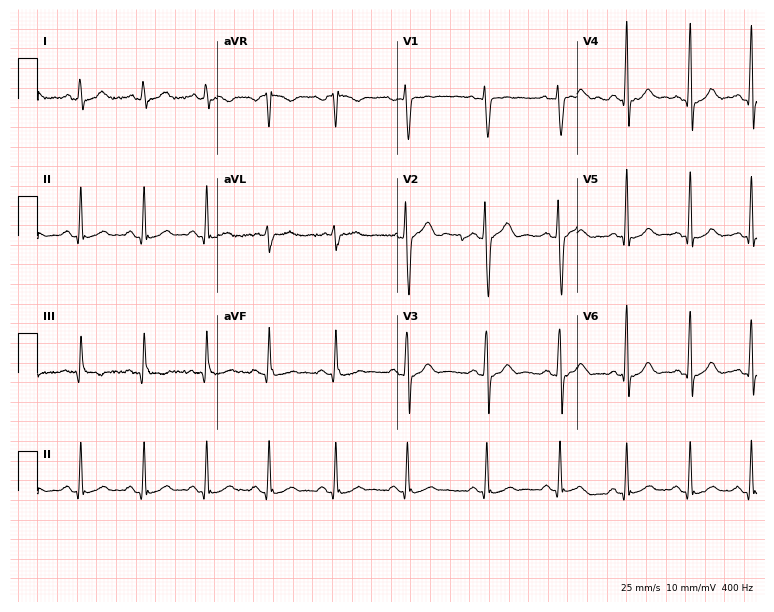
12-lead ECG (7.3-second recording at 400 Hz) from a female patient, 37 years old. Screened for six findings — first-degree AV block, right bundle branch block, left bundle branch block, sinus bradycardia, atrial fibrillation, sinus tachycardia — none is recorded. Other findings, if any, are not listed.